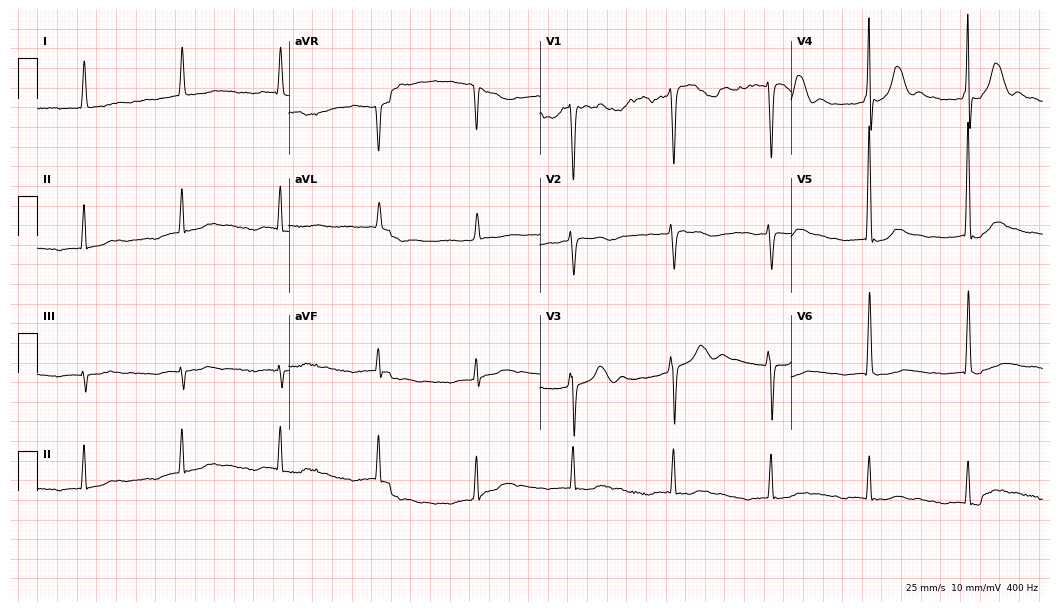
12-lead ECG from an 85-year-old man. Findings include first-degree AV block.